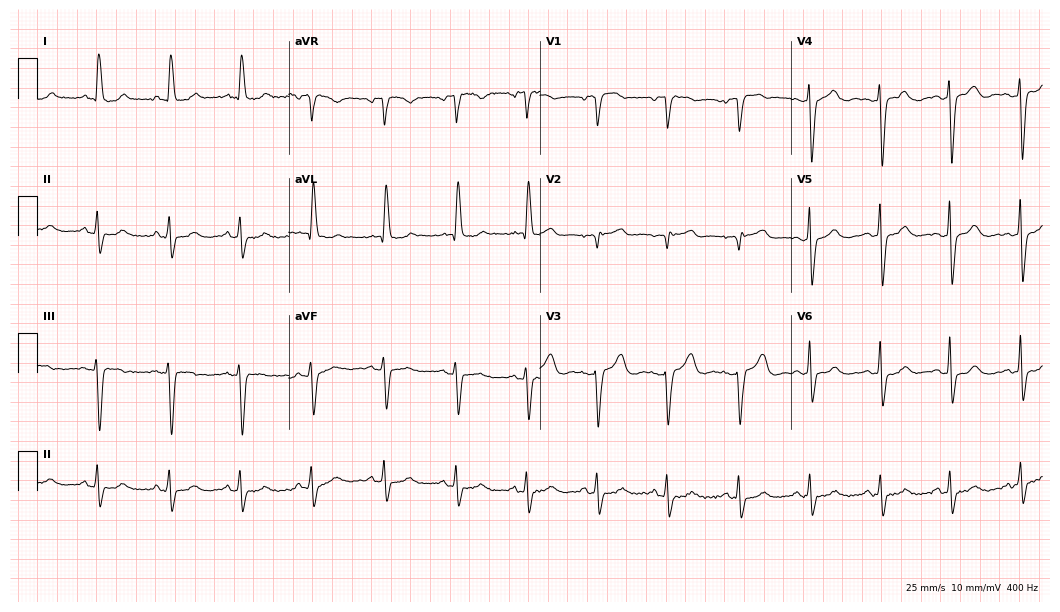
12-lead ECG from an 80-year-old female patient. Shows left bundle branch block.